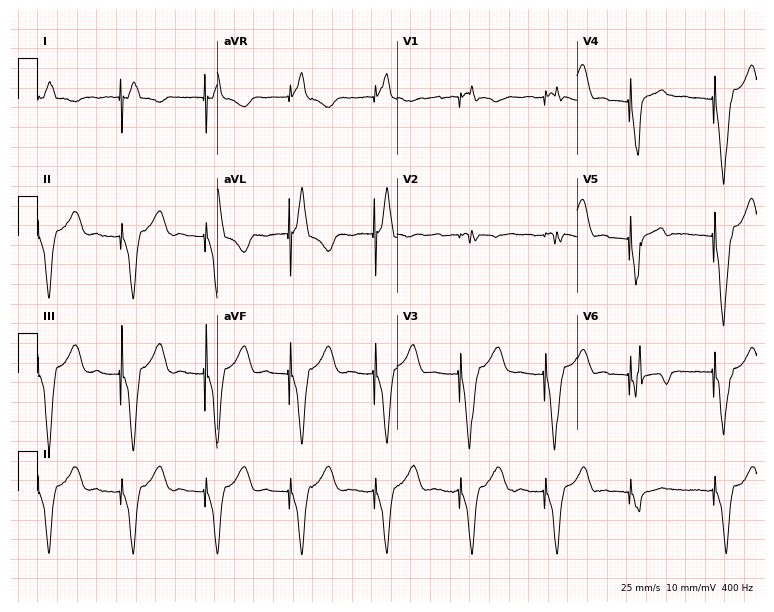
Standard 12-lead ECG recorded from a 73-year-old woman. None of these six findings is recorded: first-degree AV block, right bundle branch block, left bundle branch block, sinus bradycardia, atrial fibrillation, sinus tachycardia.